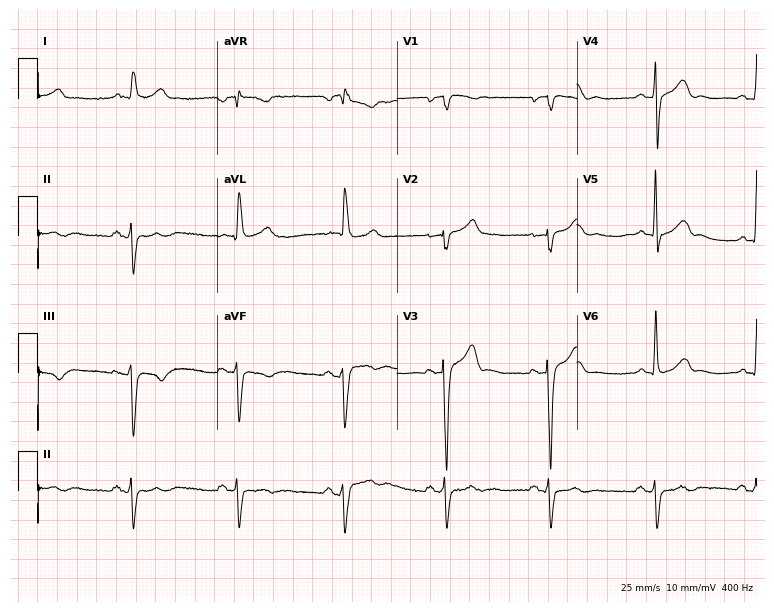
12-lead ECG (7.3-second recording at 400 Hz) from a man, 79 years old. Screened for six findings — first-degree AV block, right bundle branch block, left bundle branch block, sinus bradycardia, atrial fibrillation, sinus tachycardia — none is recorded. Only these six findings were labelled.